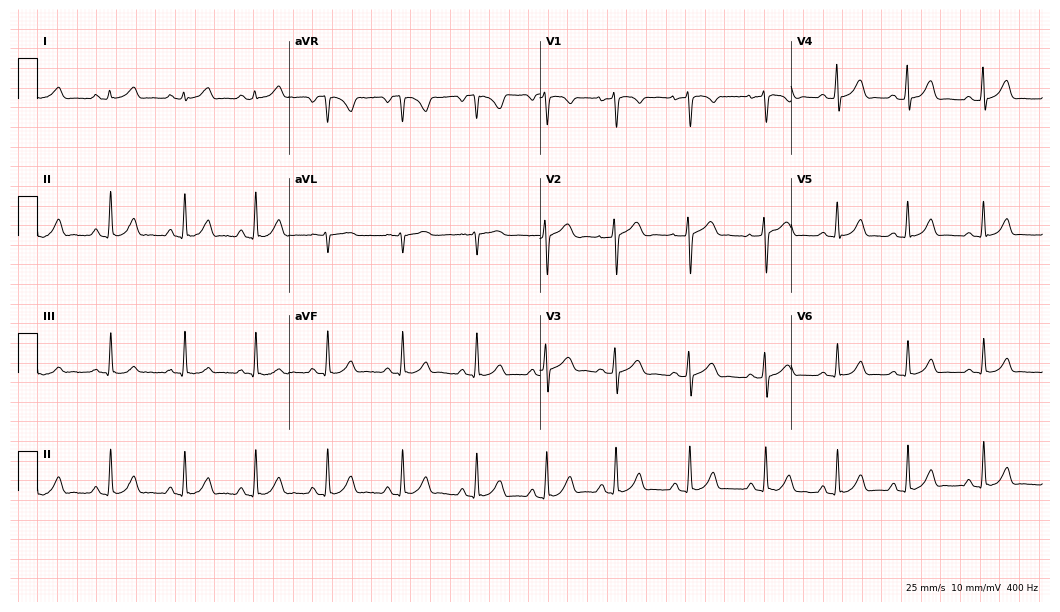
12-lead ECG from a female patient, 19 years old (10.2-second recording at 400 Hz). Recorded interpretation: within normal limits.